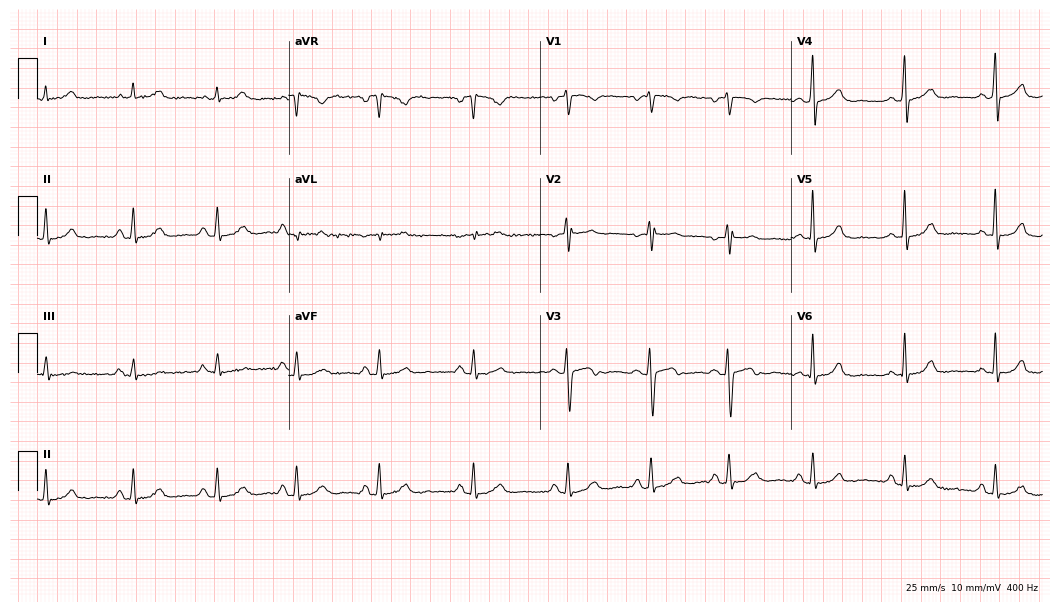
12-lead ECG from a female patient, 44 years old (10.2-second recording at 400 Hz). No first-degree AV block, right bundle branch block, left bundle branch block, sinus bradycardia, atrial fibrillation or sinus tachycardia recorded for this tracing. Findings outside these six are not listed.